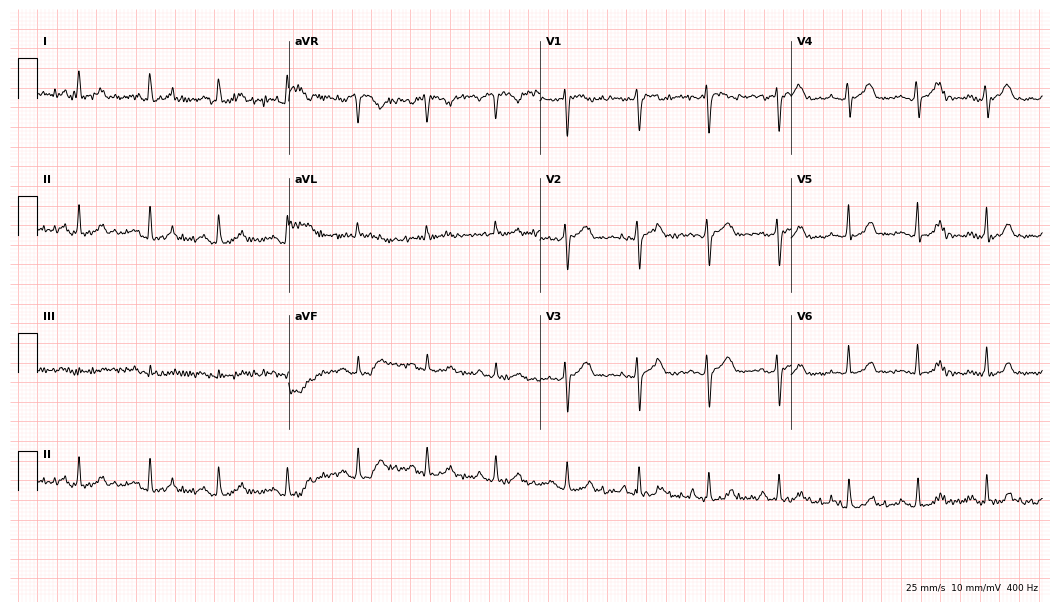
Electrocardiogram (10.2-second recording at 400 Hz), a female, 54 years old. Overall reading on record: normal ECG.